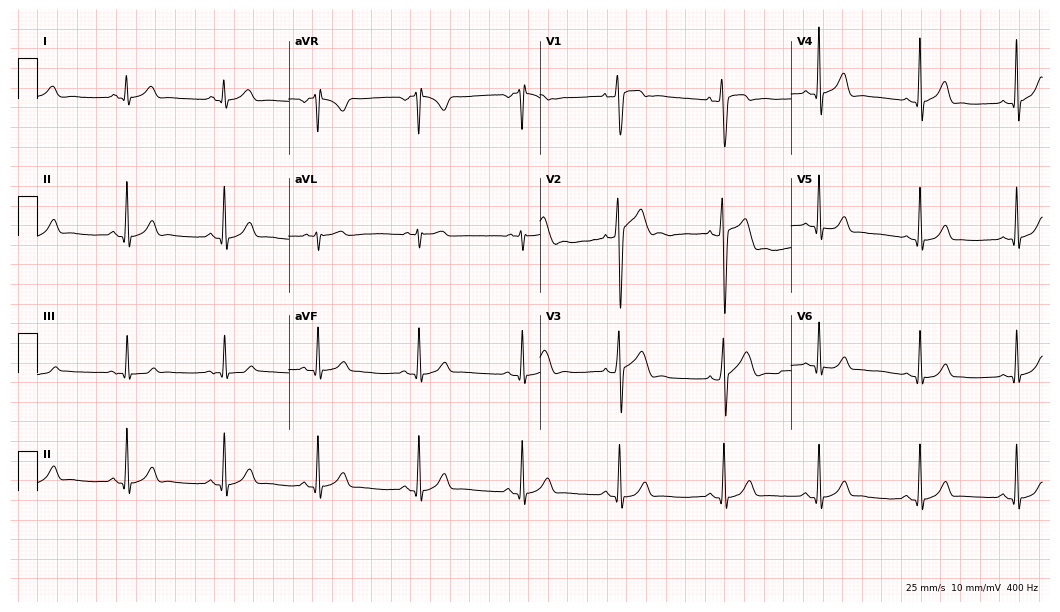
Standard 12-lead ECG recorded from a male patient, 29 years old (10.2-second recording at 400 Hz). Read as a normal ECG.